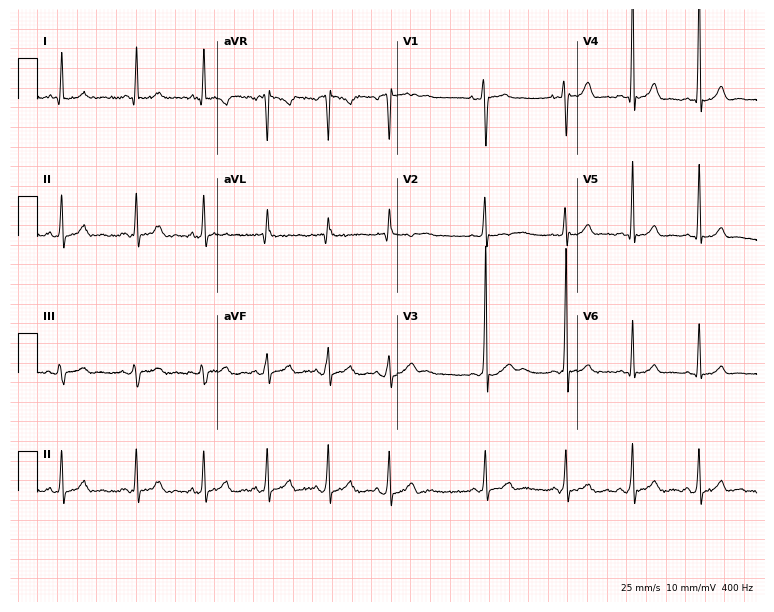
Standard 12-lead ECG recorded from a man, 19 years old. Read as a normal ECG.